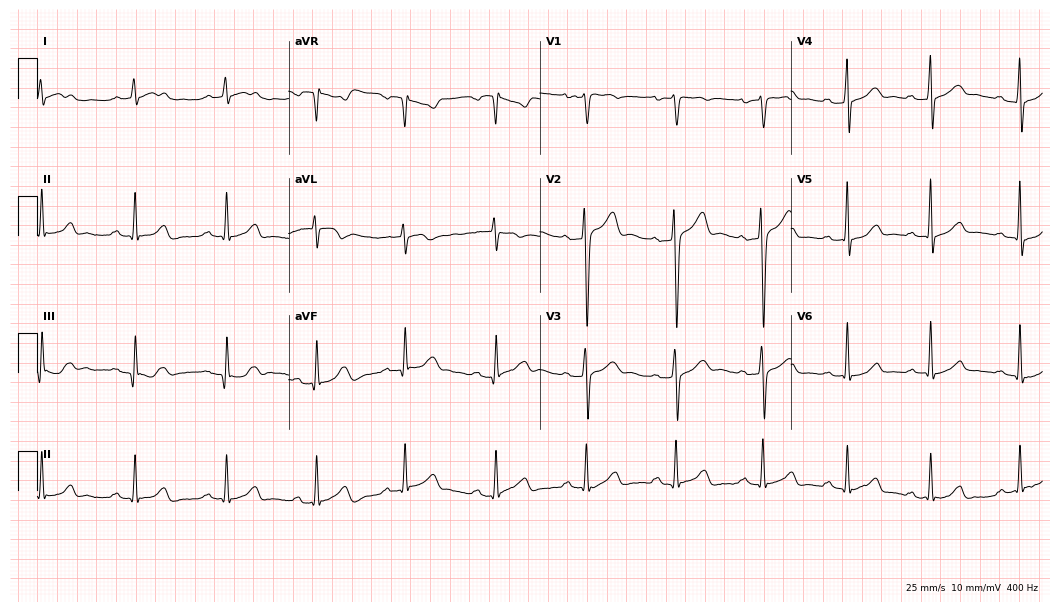
Electrocardiogram, a 26-year-old male. Overall reading on record: normal ECG.